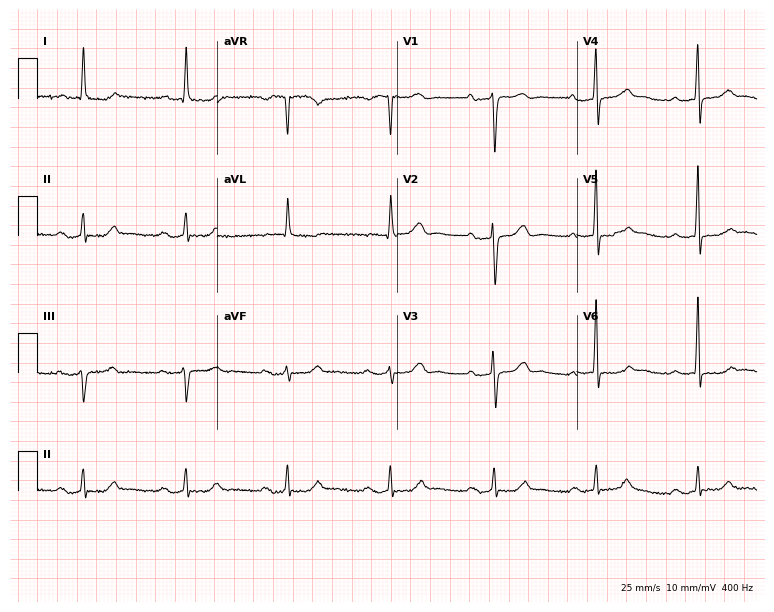
Electrocardiogram, a female, 84 years old. Of the six screened findings (first-degree AV block, right bundle branch block (RBBB), left bundle branch block (LBBB), sinus bradycardia, atrial fibrillation (AF), sinus tachycardia), none is recorded.